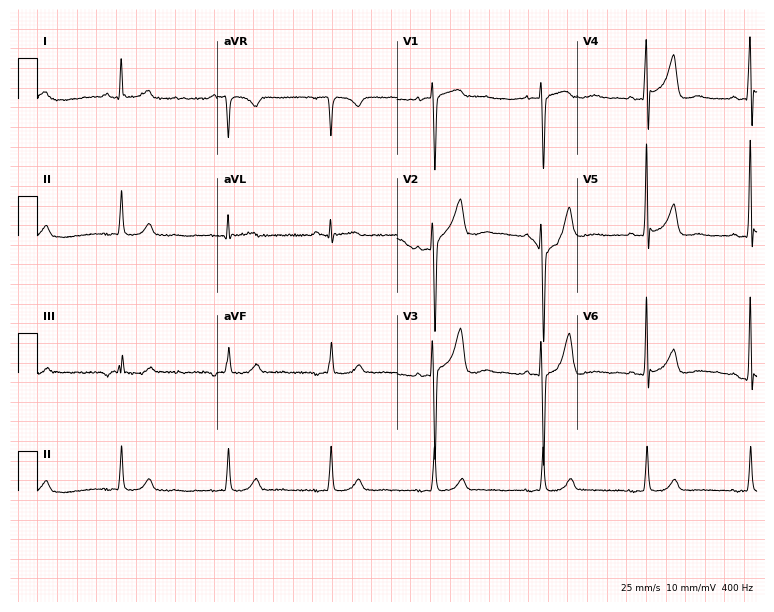
Electrocardiogram, a man, 61 years old. Overall reading on record: normal ECG.